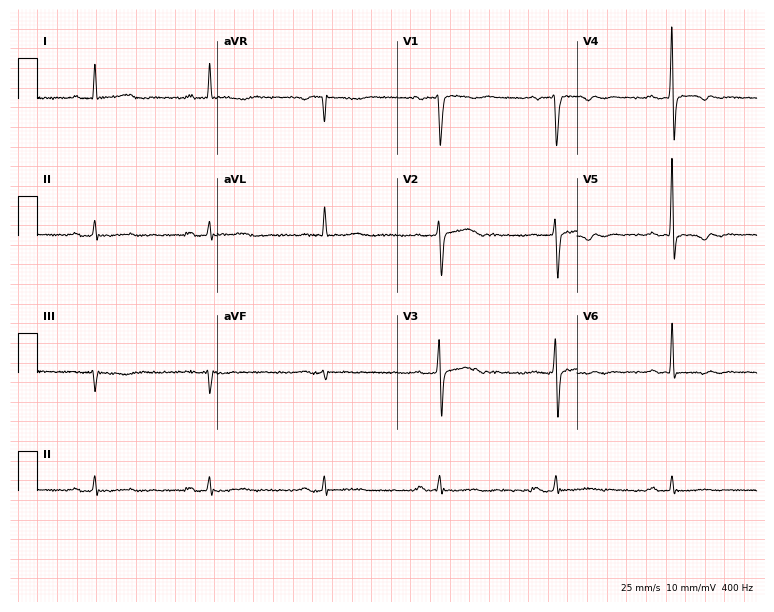
ECG — a 65-year-old male patient. Screened for six findings — first-degree AV block, right bundle branch block, left bundle branch block, sinus bradycardia, atrial fibrillation, sinus tachycardia — none is recorded.